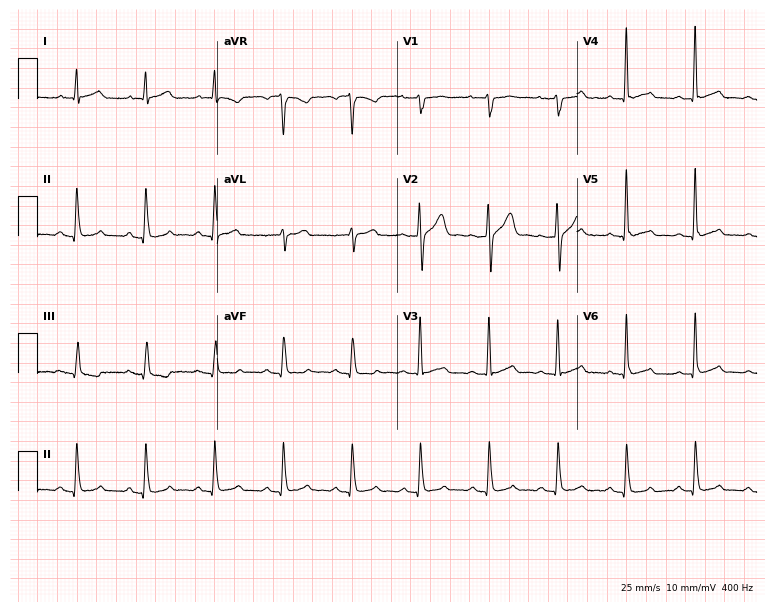
12-lead ECG from a male patient, 48 years old. Labelled as a normal ECG.